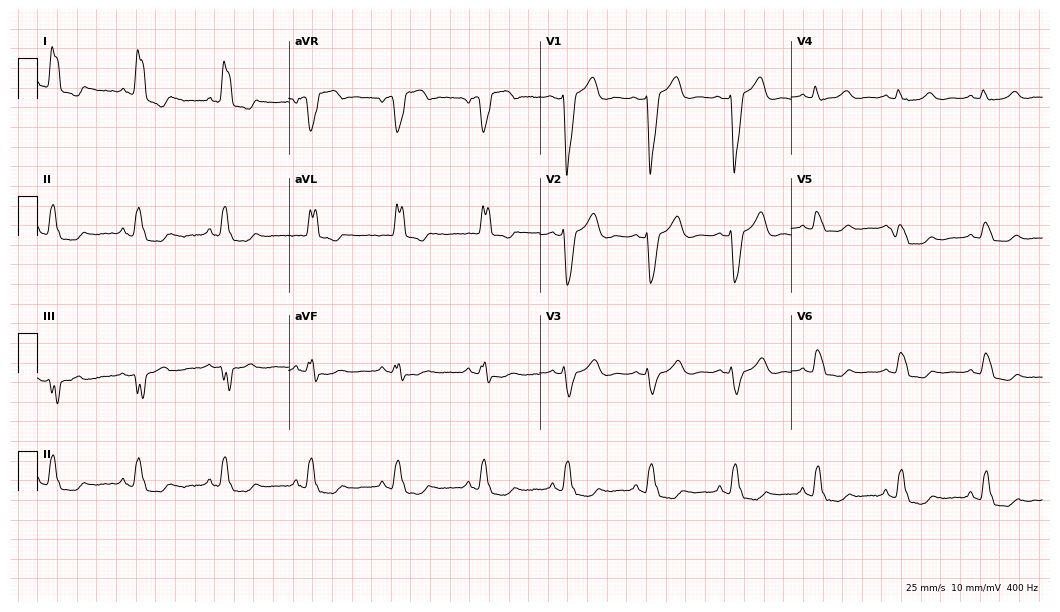
Resting 12-lead electrocardiogram. Patient: a woman, 52 years old. The tracing shows left bundle branch block.